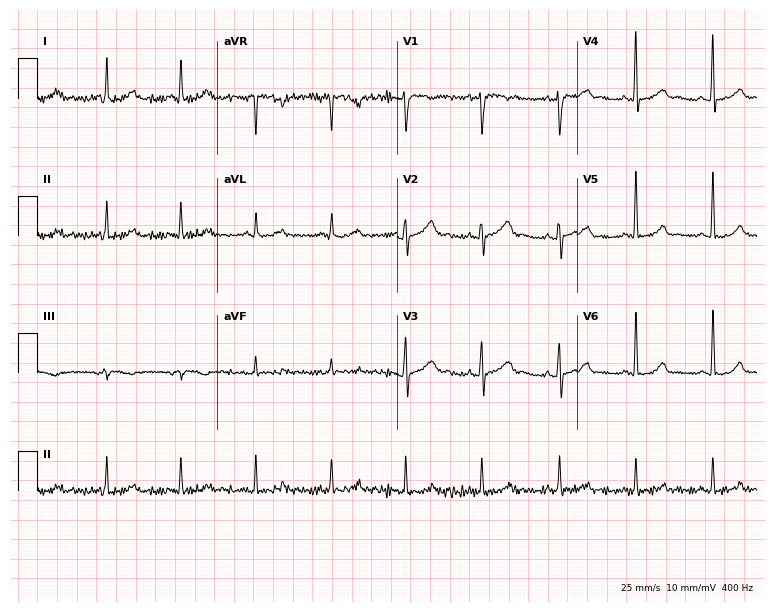
Electrocardiogram (7.3-second recording at 400 Hz), a 45-year-old female. Overall reading on record: normal ECG.